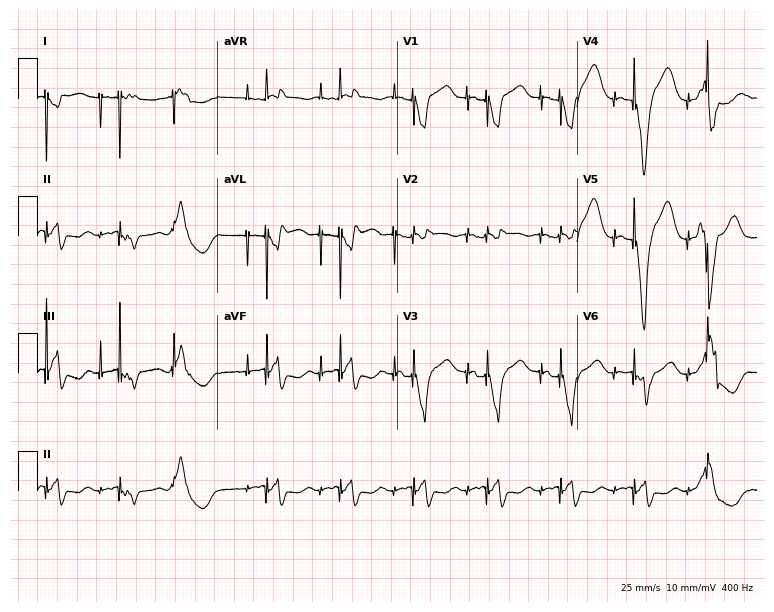
12-lead ECG (7.3-second recording at 400 Hz) from a 58-year-old male patient. Screened for six findings — first-degree AV block, right bundle branch block, left bundle branch block, sinus bradycardia, atrial fibrillation, sinus tachycardia — none is recorded. Only these six findings were labelled.